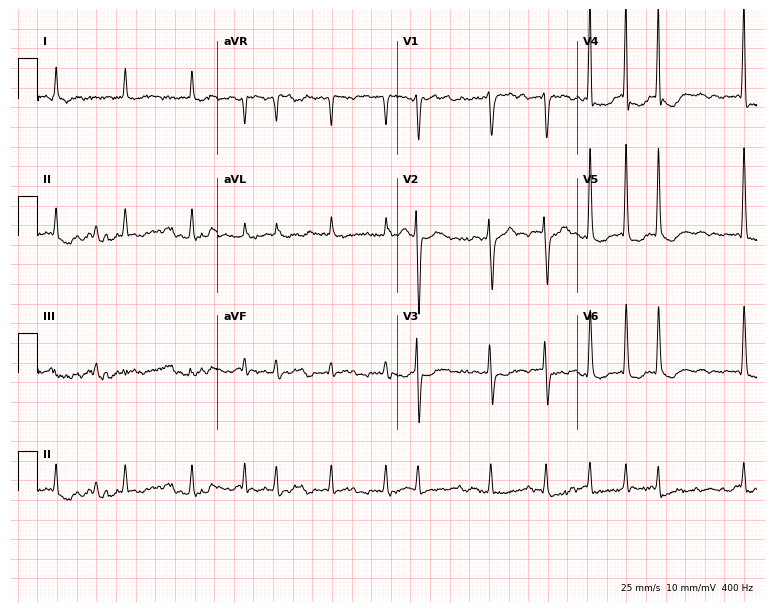
12-lead ECG from a woman, 66 years old. Findings include atrial fibrillation.